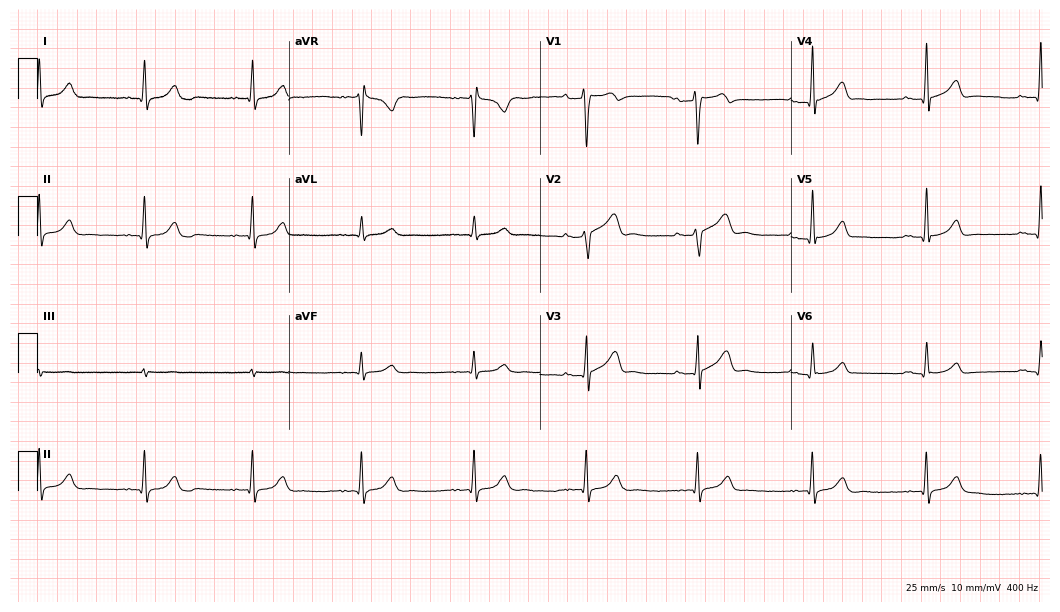
Electrocardiogram (10.2-second recording at 400 Hz), a male, 59 years old. Overall reading on record: normal ECG.